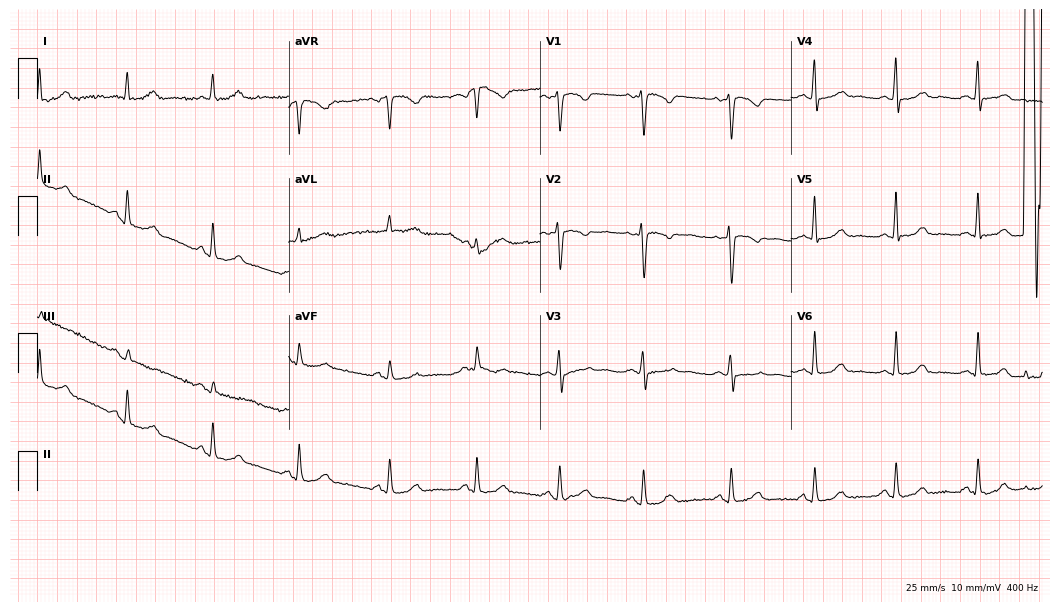
12-lead ECG from a 36-year-old female patient. Labelled as a normal ECG.